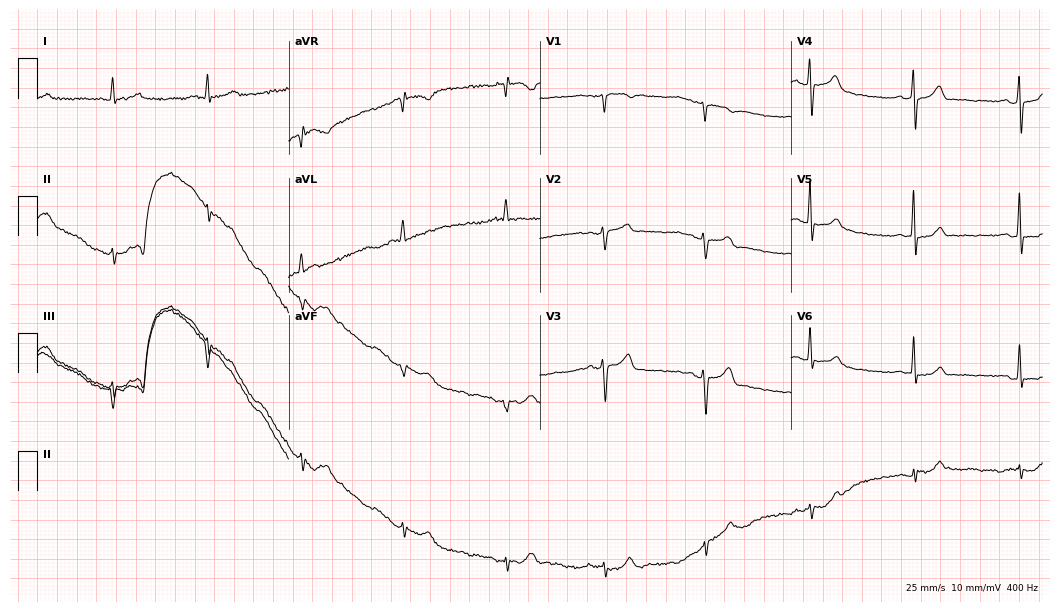
Standard 12-lead ECG recorded from a 69-year-old man (10.2-second recording at 400 Hz). None of these six findings is recorded: first-degree AV block, right bundle branch block, left bundle branch block, sinus bradycardia, atrial fibrillation, sinus tachycardia. Findings outside these six are not listed.